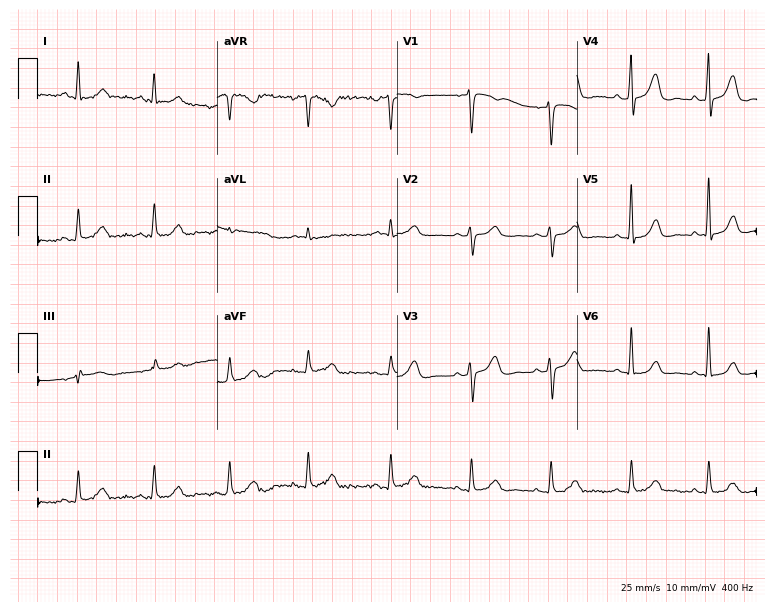
12-lead ECG (7.3-second recording at 400 Hz) from a 65-year-old female patient. Screened for six findings — first-degree AV block, right bundle branch block, left bundle branch block, sinus bradycardia, atrial fibrillation, sinus tachycardia — none is recorded. Only these six findings were labelled.